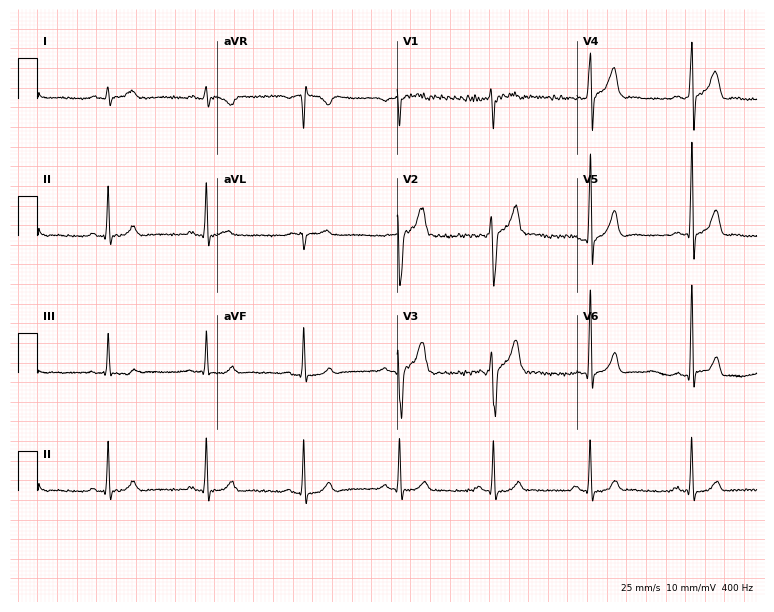
Standard 12-lead ECG recorded from a 33-year-old male (7.3-second recording at 400 Hz). None of these six findings is recorded: first-degree AV block, right bundle branch block (RBBB), left bundle branch block (LBBB), sinus bradycardia, atrial fibrillation (AF), sinus tachycardia.